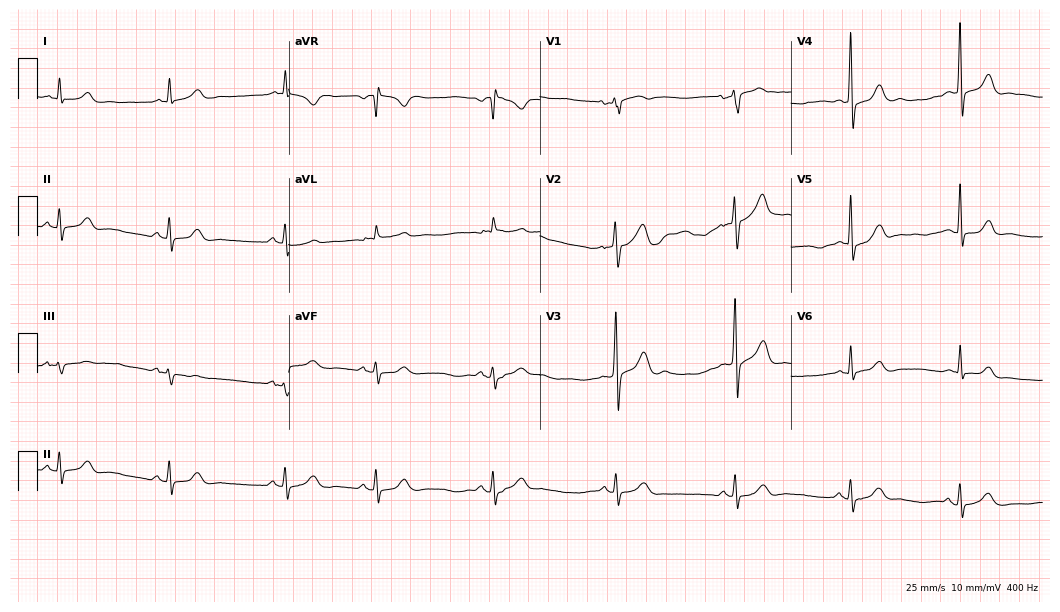
Resting 12-lead electrocardiogram. Patient: a 71-year-old male. None of these six findings is recorded: first-degree AV block, right bundle branch block, left bundle branch block, sinus bradycardia, atrial fibrillation, sinus tachycardia. Findings outside these six are not listed.